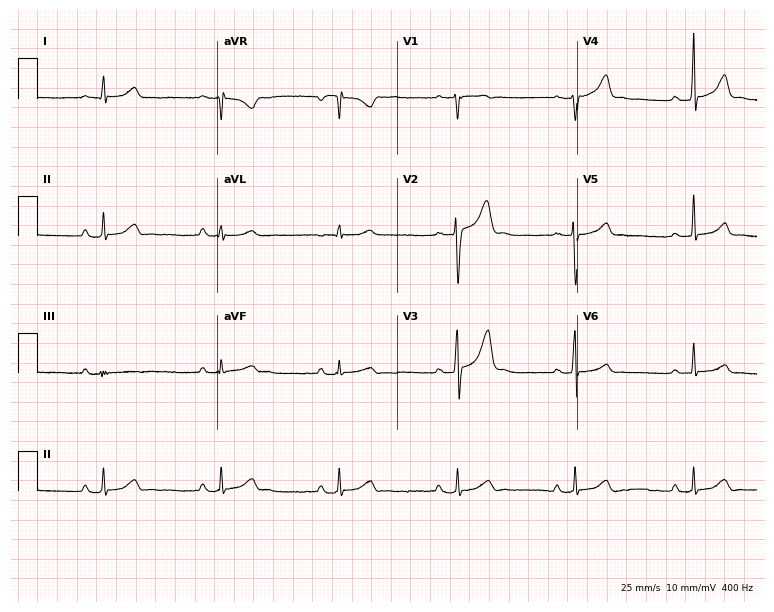
Electrocardiogram (7.3-second recording at 400 Hz), a 29-year-old male patient. Overall reading on record: normal ECG.